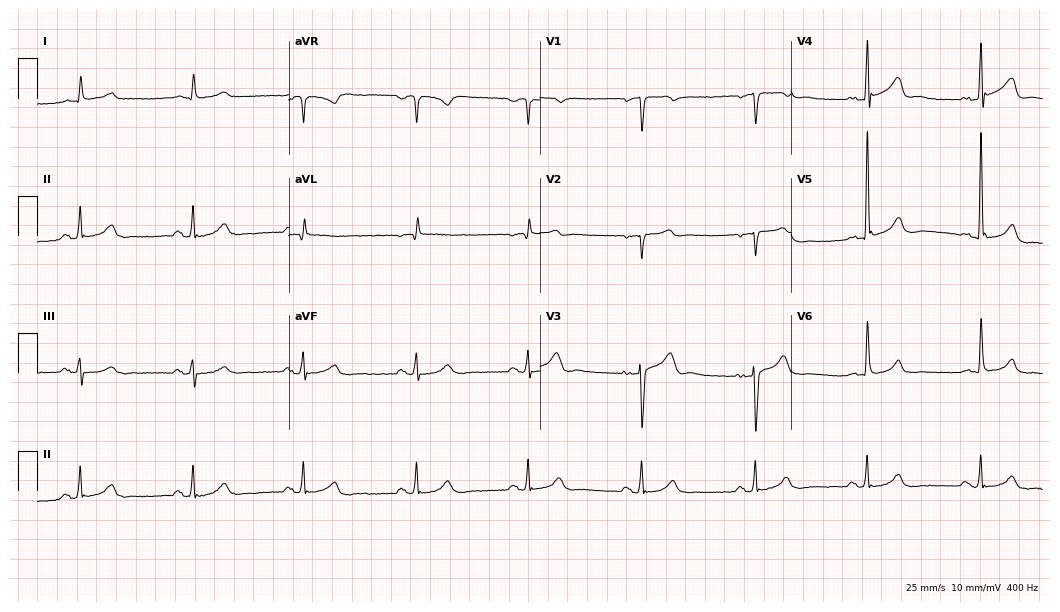
Standard 12-lead ECG recorded from a 57-year-old male (10.2-second recording at 400 Hz). Read as a normal ECG.